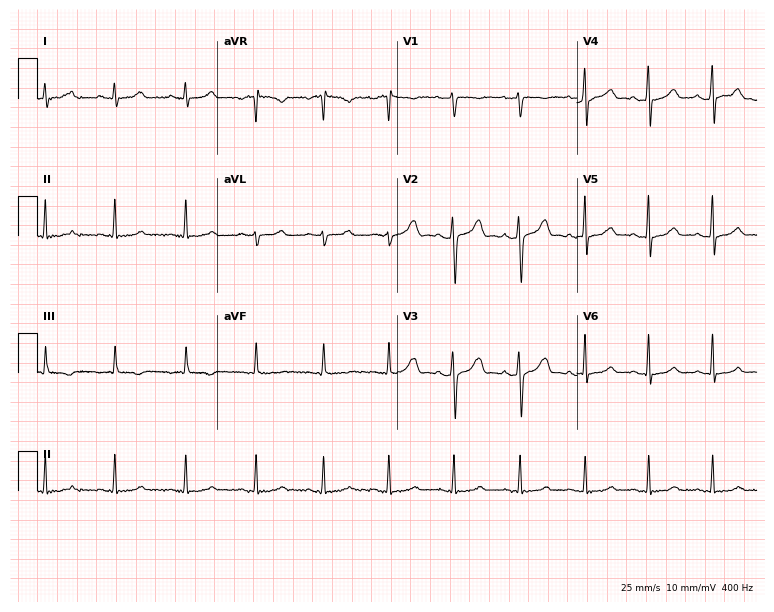
Electrocardiogram, a 30-year-old female. Of the six screened findings (first-degree AV block, right bundle branch block, left bundle branch block, sinus bradycardia, atrial fibrillation, sinus tachycardia), none is recorded. Only these six findings were labelled.